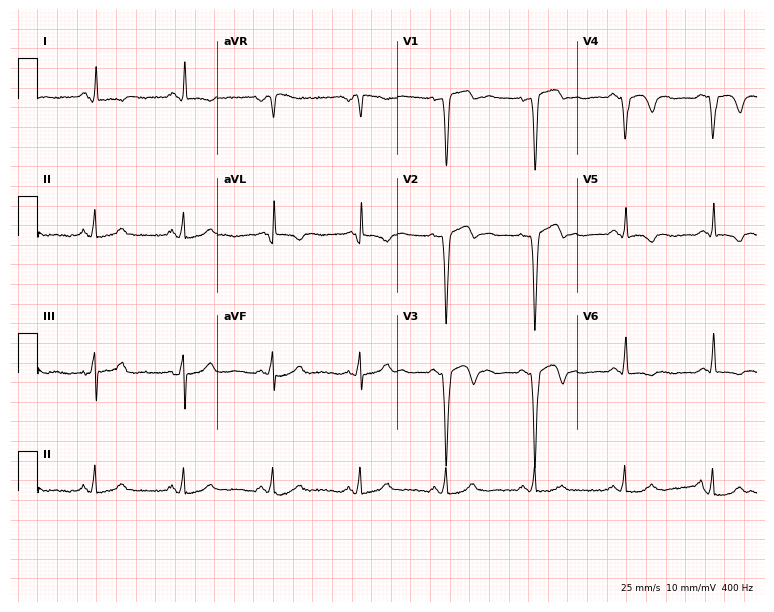
12-lead ECG from a male, 59 years old. No first-degree AV block, right bundle branch block, left bundle branch block, sinus bradycardia, atrial fibrillation or sinus tachycardia recorded for this tracing.